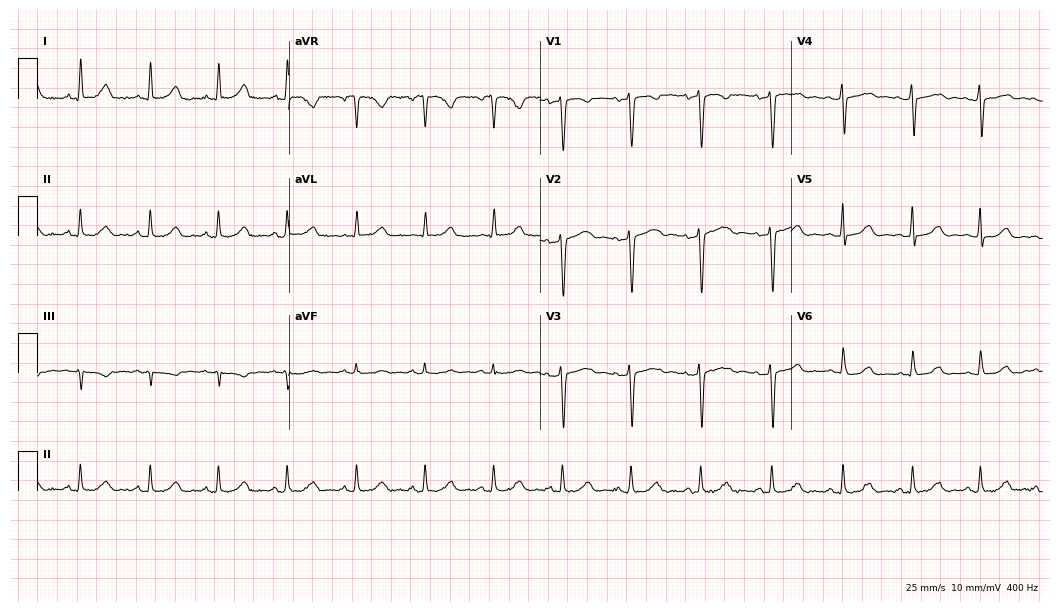
Standard 12-lead ECG recorded from a woman, 47 years old (10.2-second recording at 400 Hz). Read as a normal ECG.